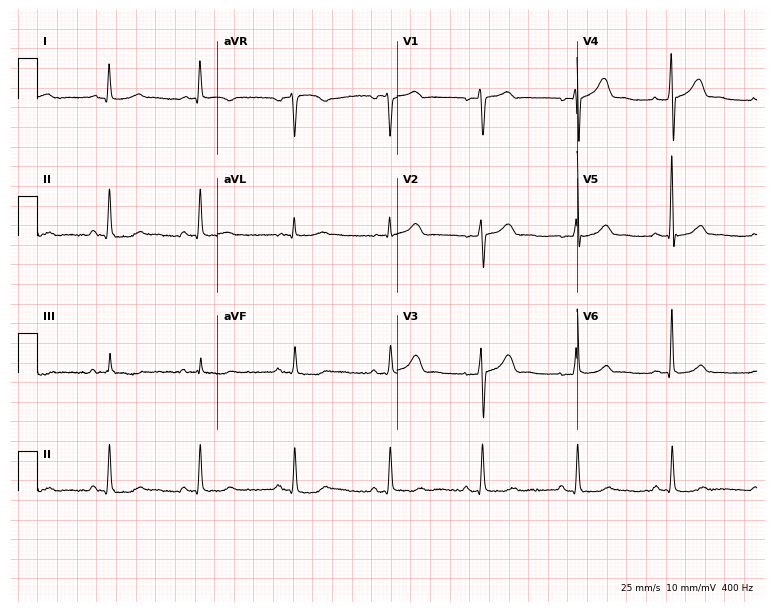
Electrocardiogram (7.3-second recording at 400 Hz), a female patient, 56 years old. Of the six screened findings (first-degree AV block, right bundle branch block, left bundle branch block, sinus bradycardia, atrial fibrillation, sinus tachycardia), none is recorded.